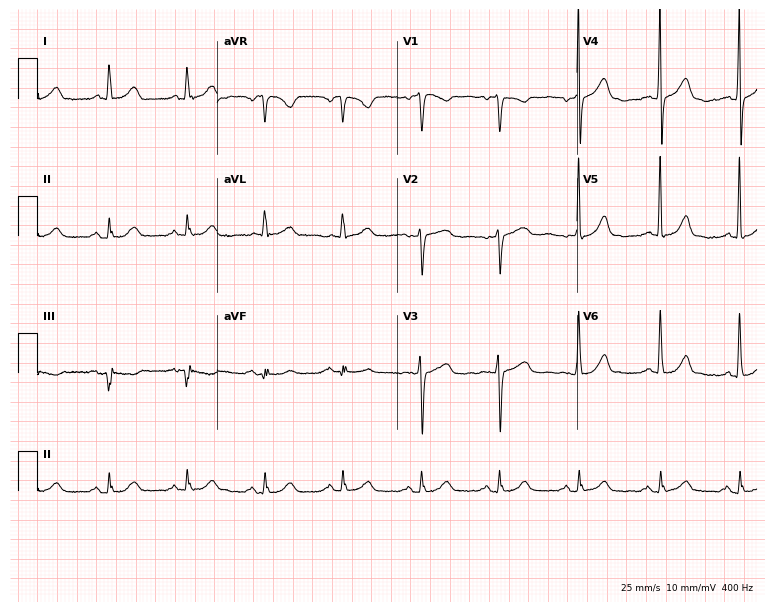
ECG (7.3-second recording at 400 Hz) — a female patient, 77 years old. Screened for six findings — first-degree AV block, right bundle branch block (RBBB), left bundle branch block (LBBB), sinus bradycardia, atrial fibrillation (AF), sinus tachycardia — none is recorded. Only these six findings were labelled.